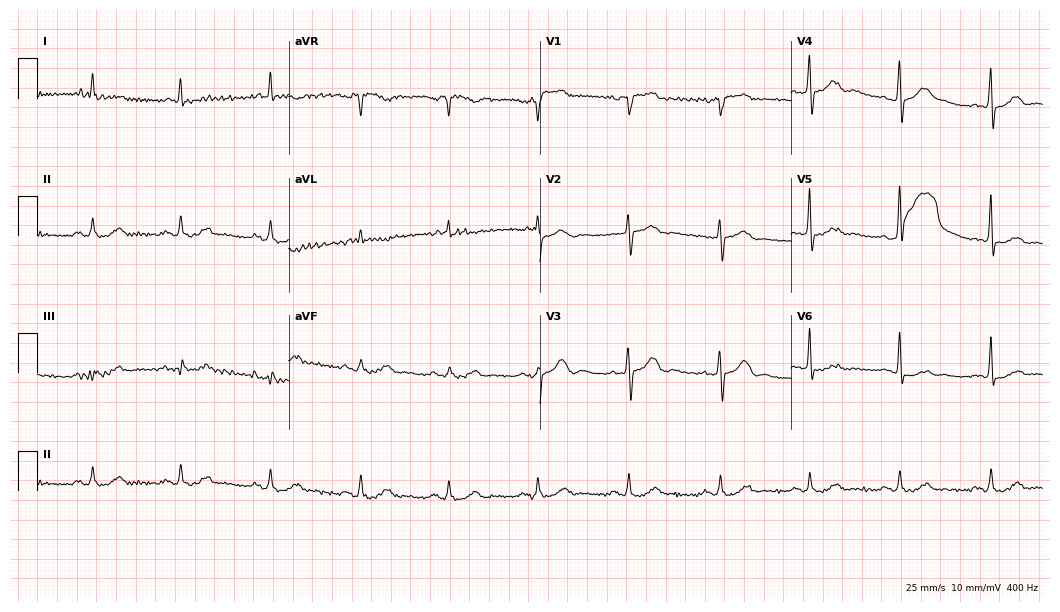
Standard 12-lead ECG recorded from an 80-year-old man (10.2-second recording at 400 Hz). Read as a normal ECG.